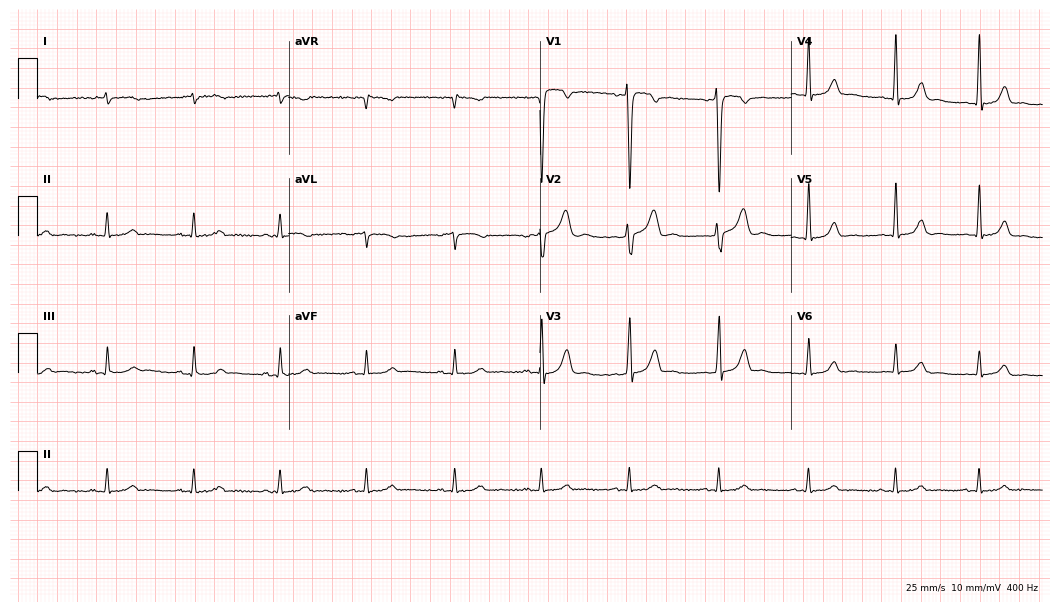
Electrocardiogram, a 35-year-old woman. Overall reading on record: normal ECG.